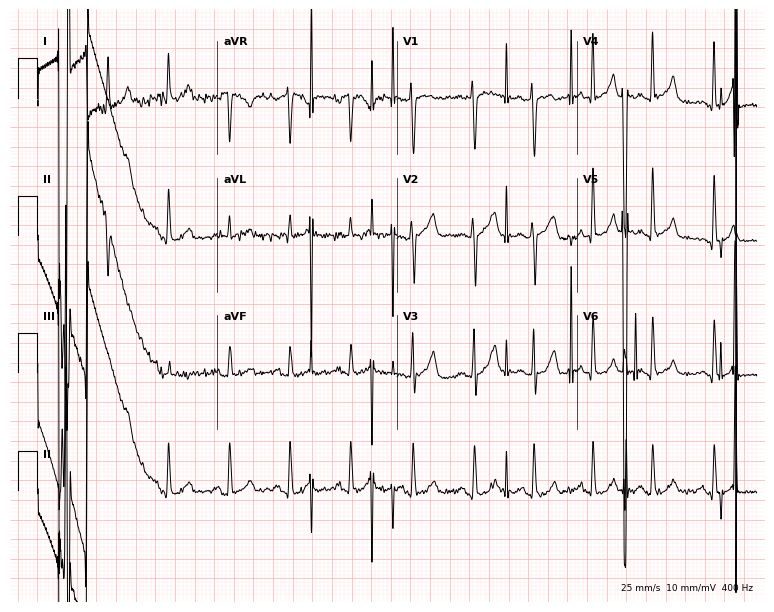
Standard 12-lead ECG recorded from a man, 33 years old (7.3-second recording at 400 Hz). None of these six findings is recorded: first-degree AV block, right bundle branch block (RBBB), left bundle branch block (LBBB), sinus bradycardia, atrial fibrillation (AF), sinus tachycardia. Only these six findings were labelled.